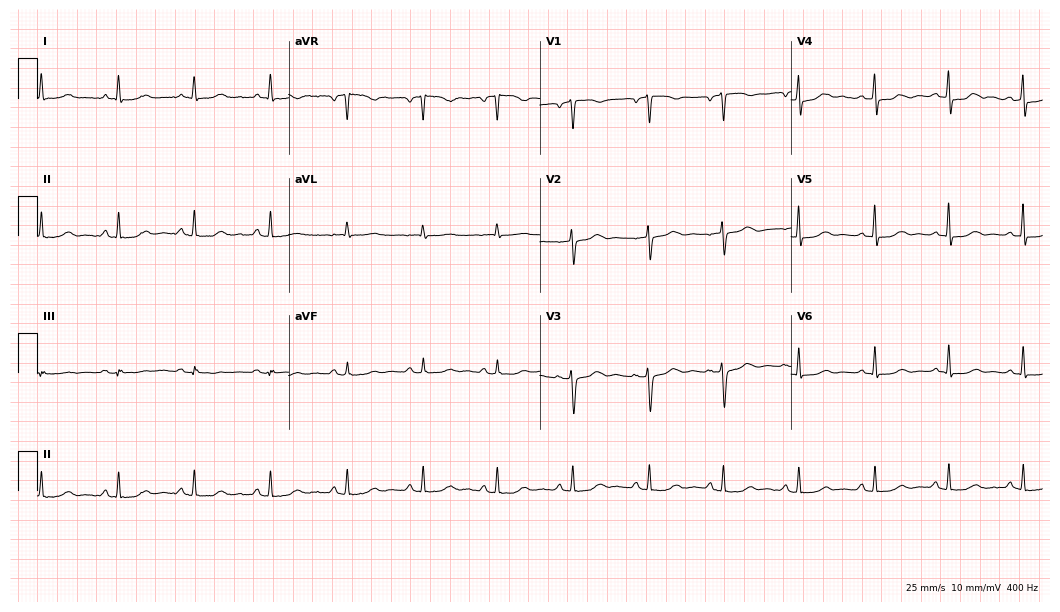
Electrocardiogram, a 66-year-old woman. Overall reading on record: normal ECG.